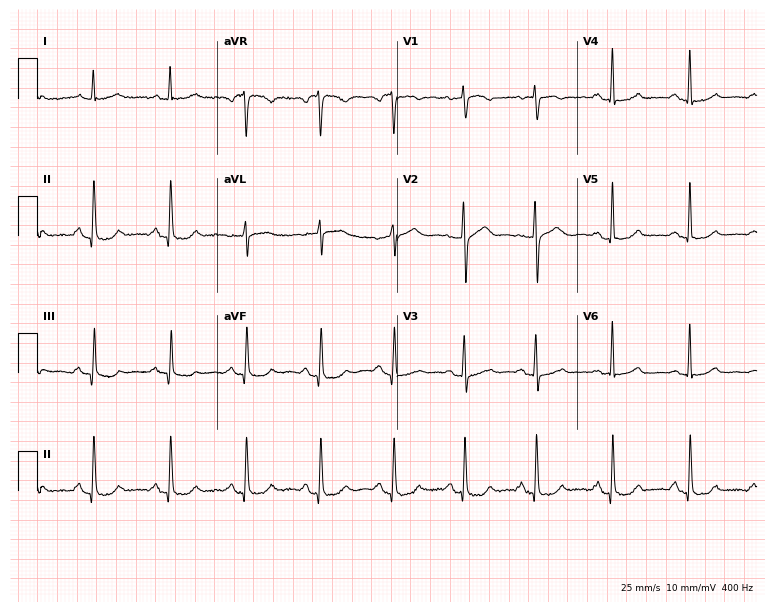
Resting 12-lead electrocardiogram (7.3-second recording at 400 Hz). Patient: a female, 61 years old. None of these six findings is recorded: first-degree AV block, right bundle branch block (RBBB), left bundle branch block (LBBB), sinus bradycardia, atrial fibrillation (AF), sinus tachycardia. Only these six findings were labelled.